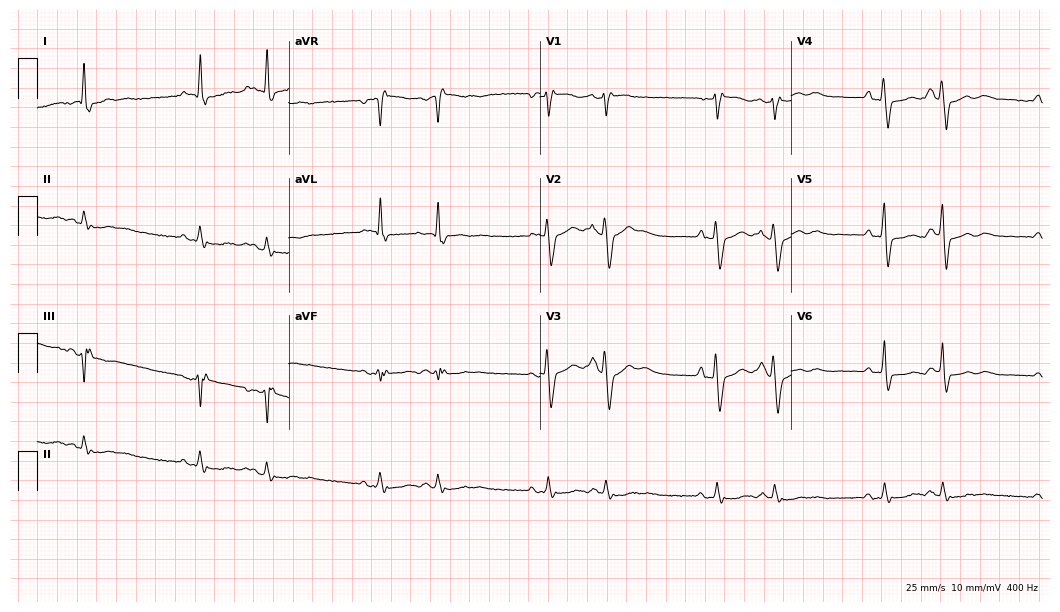
12-lead ECG from a 79-year-old man. Screened for six findings — first-degree AV block, right bundle branch block, left bundle branch block, sinus bradycardia, atrial fibrillation, sinus tachycardia — none is recorded.